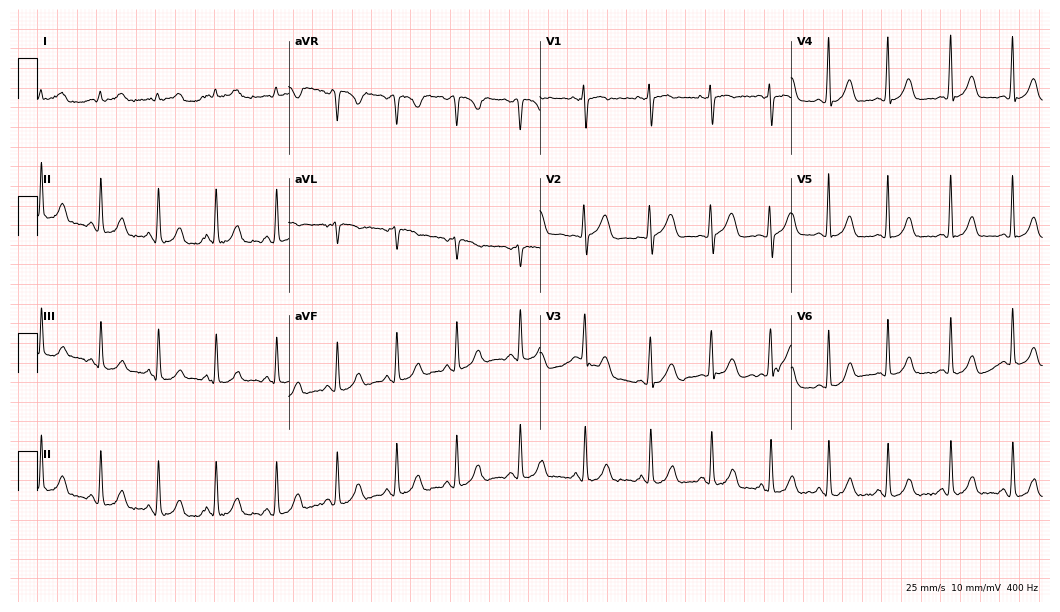
ECG — a woman, 29 years old. Labelled as a normal ECG.